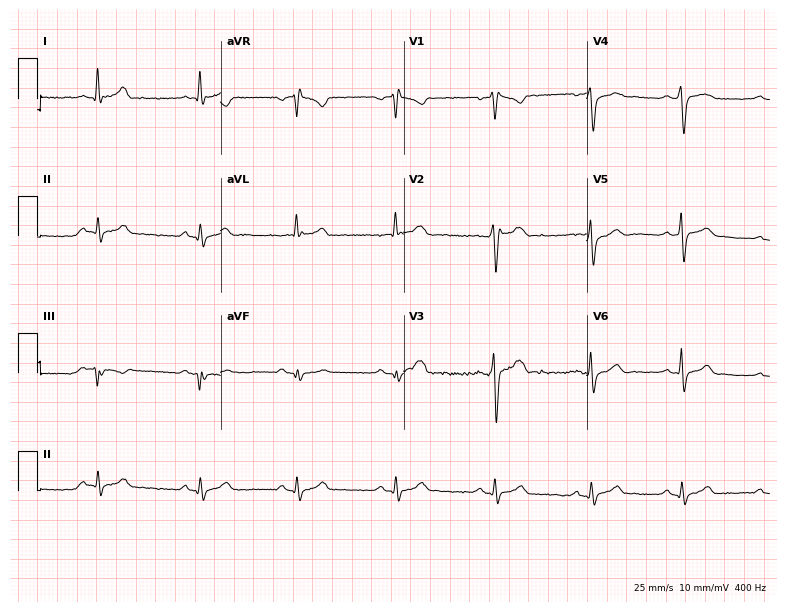
ECG — a man, 31 years old. Screened for six findings — first-degree AV block, right bundle branch block (RBBB), left bundle branch block (LBBB), sinus bradycardia, atrial fibrillation (AF), sinus tachycardia — none is recorded.